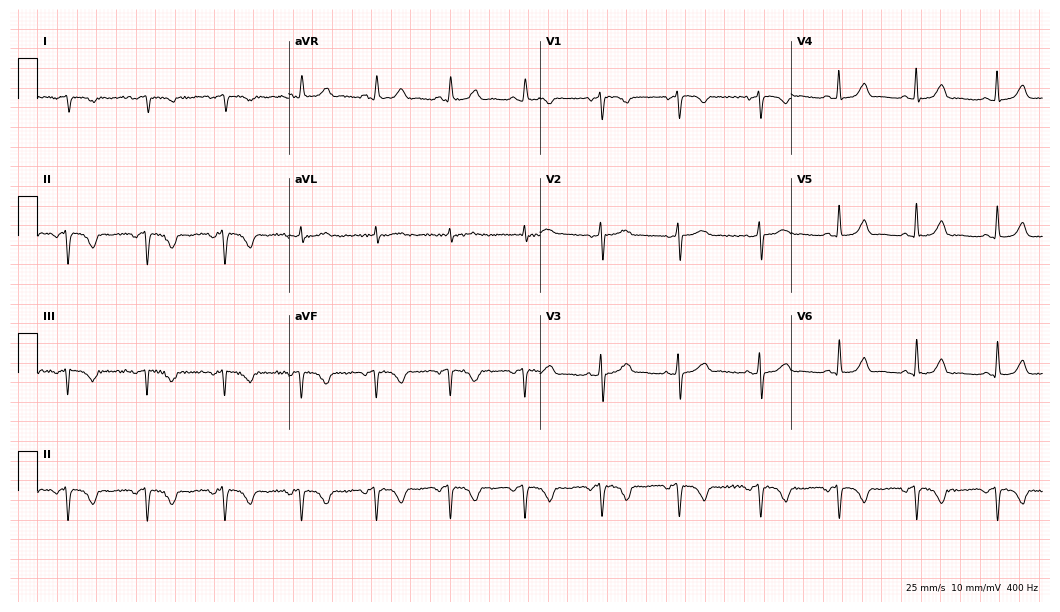
Standard 12-lead ECG recorded from a woman, 68 years old. None of these six findings is recorded: first-degree AV block, right bundle branch block, left bundle branch block, sinus bradycardia, atrial fibrillation, sinus tachycardia. Other findings, if any, are not listed.